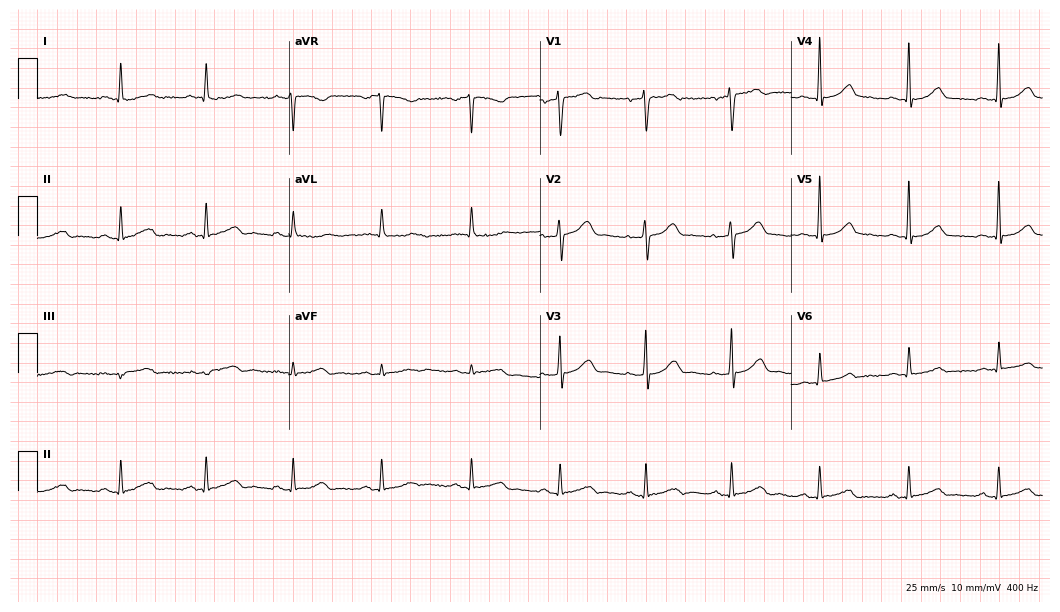
Electrocardiogram (10.2-second recording at 400 Hz), a 57-year-old female. Of the six screened findings (first-degree AV block, right bundle branch block (RBBB), left bundle branch block (LBBB), sinus bradycardia, atrial fibrillation (AF), sinus tachycardia), none is recorded.